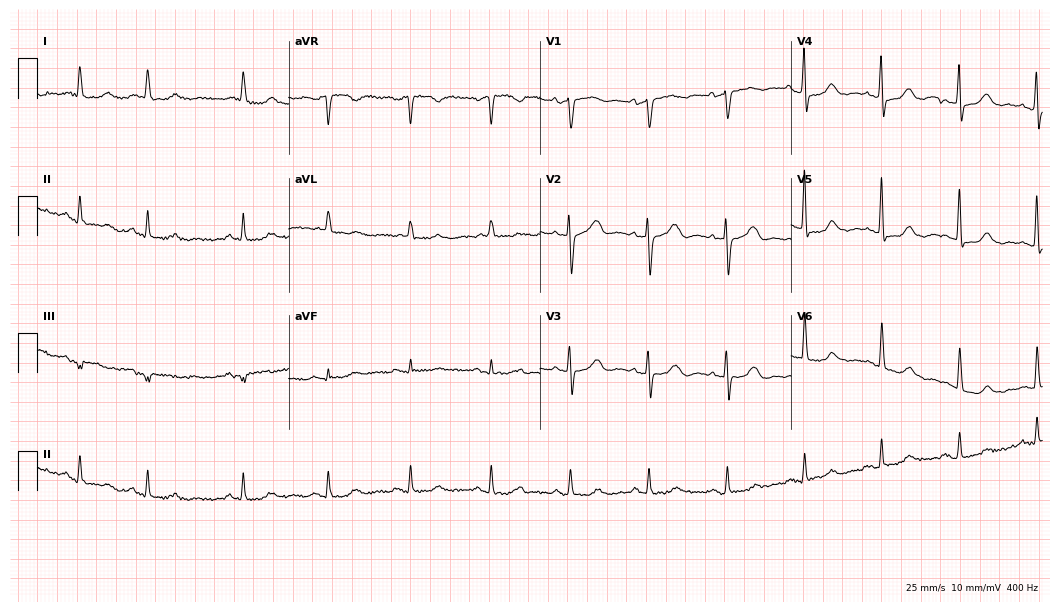
Resting 12-lead electrocardiogram (10.2-second recording at 400 Hz). Patient: a 79-year-old female. None of these six findings is recorded: first-degree AV block, right bundle branch block, left bundle branch block, sinus bradycardia, atrial fibrillation, sinus tachycardia. Other findings, if any, are not listed.